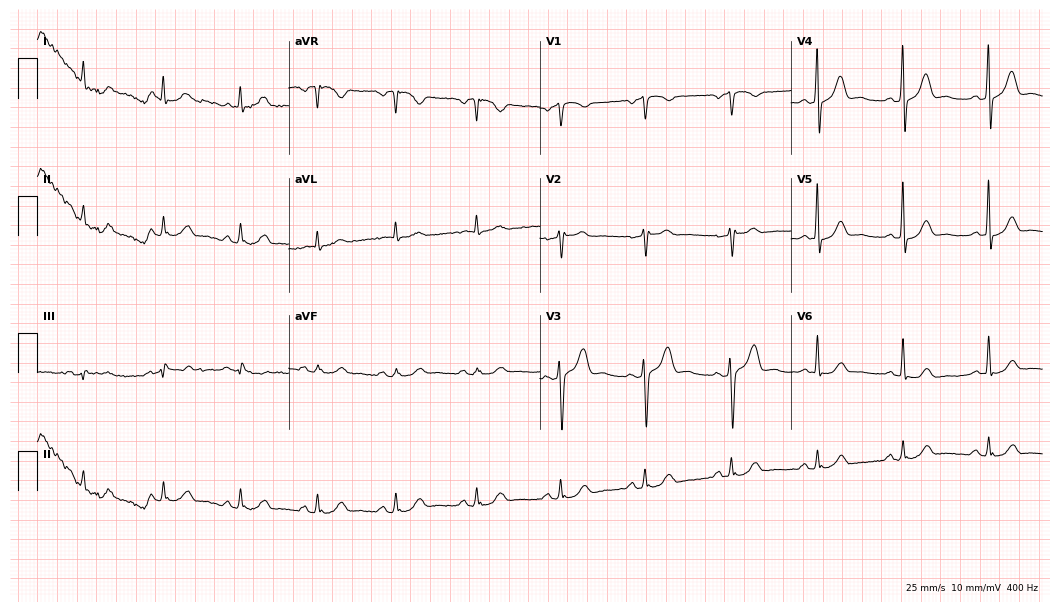
Resting 12-lead electrocardiogram. Patient: a male, 43 years old. None of these six findings is recorded: first-degree AV block, right bundle branch block, left bundle branch block, sinus bradycardia, atrial fibrillation, sinus tachycardia.